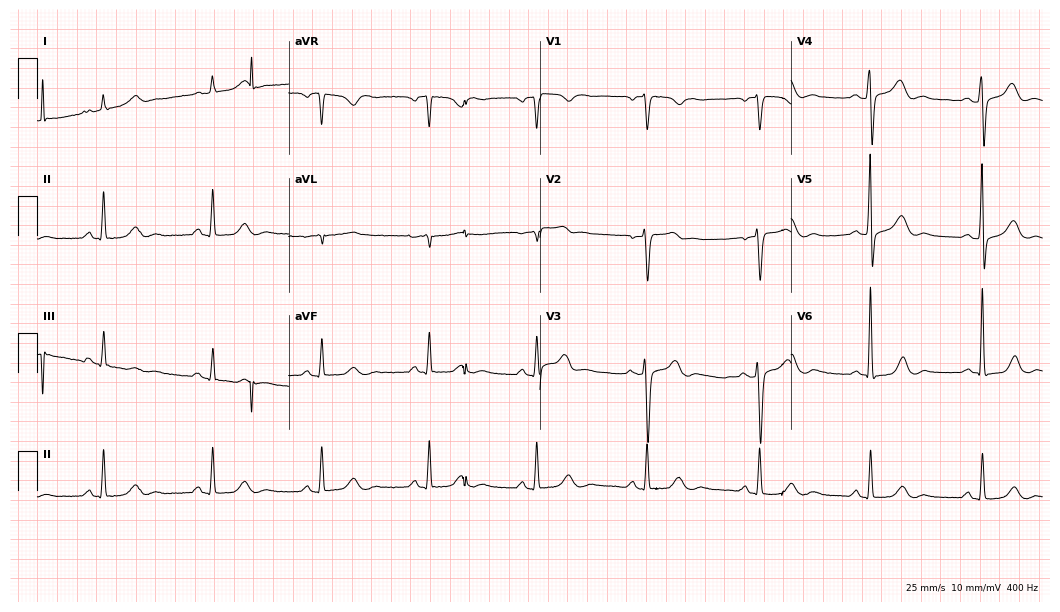
Resting 12-lead electrocardiogram. Patient: a 53-year-old female. None of these six findings is recorded: first-degree AV block, right bundle branch block (RBBB), left bundle branch block (LBBB), sinus bradycardia, atrial fibrillation (AF), sinus tachycardia.